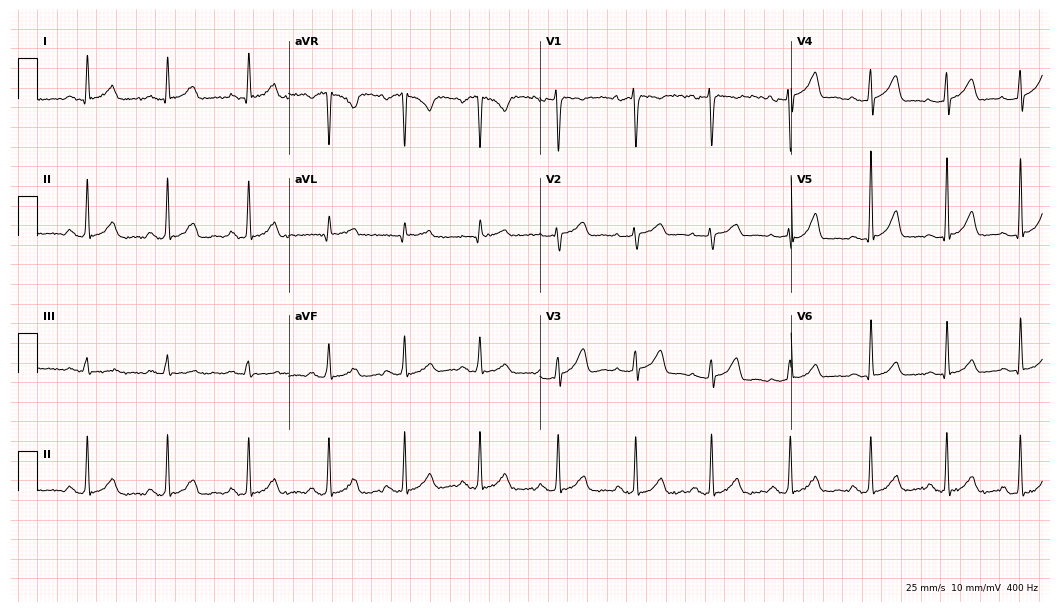
Standard 12-lead ECG recorded from a 31-year-old female. Read as a normal ECG.